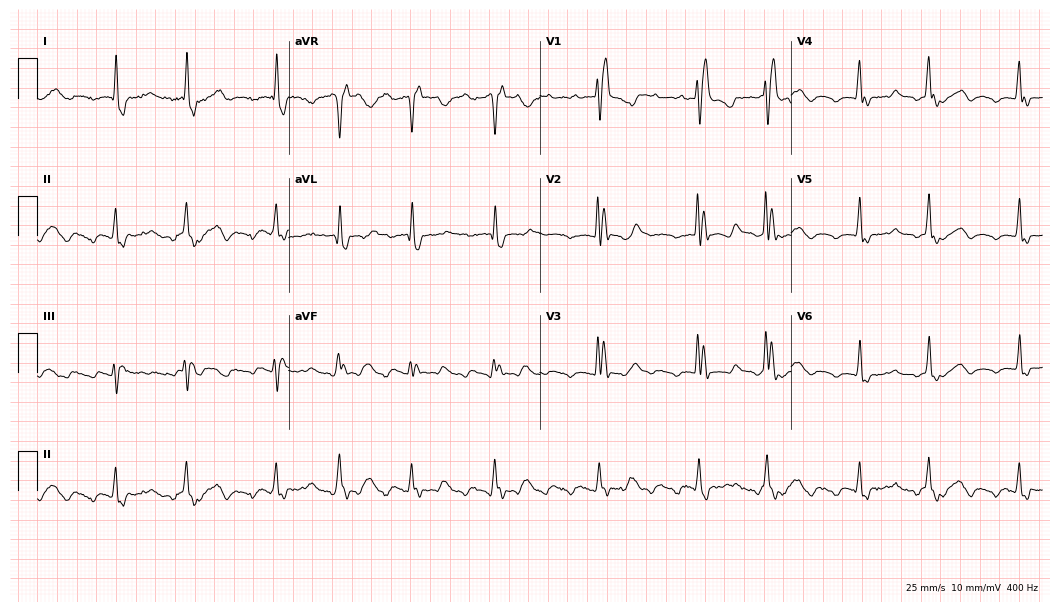
ECG (10.2-second recording at 400 Hz) — a 39-year-old woman. Findings include right bundle branch block.